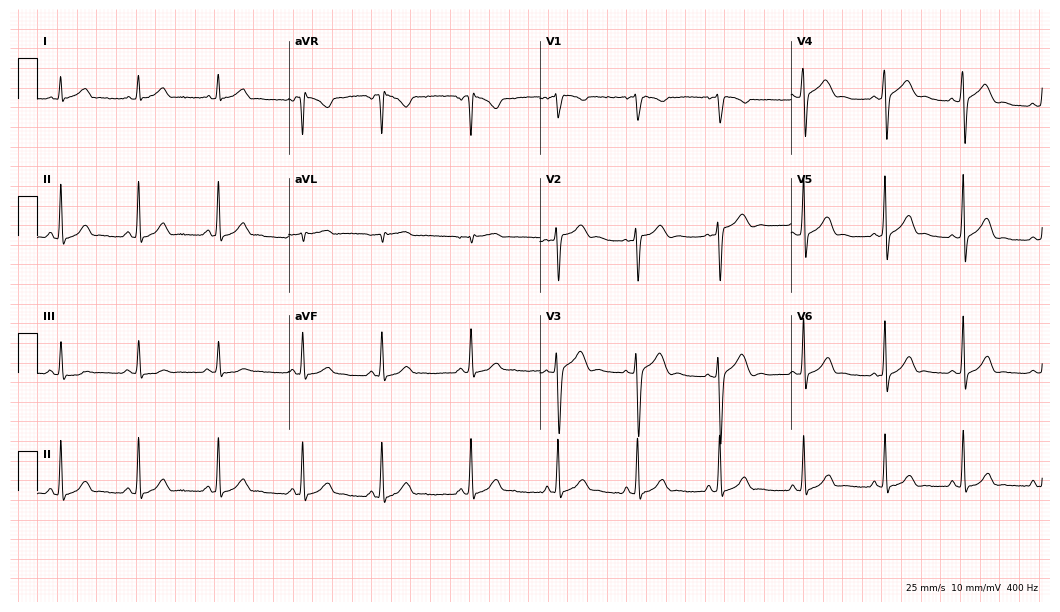
12-lead ECG from a 24-year-old female. No first-degree AV block, right bundle branch block (RBBB), left bundle branch block (LBBB), sinus bradycardia, atrial fibrillation (AF) or sinus tachycardia recorded for this tracing. Only these six findings were labelled.